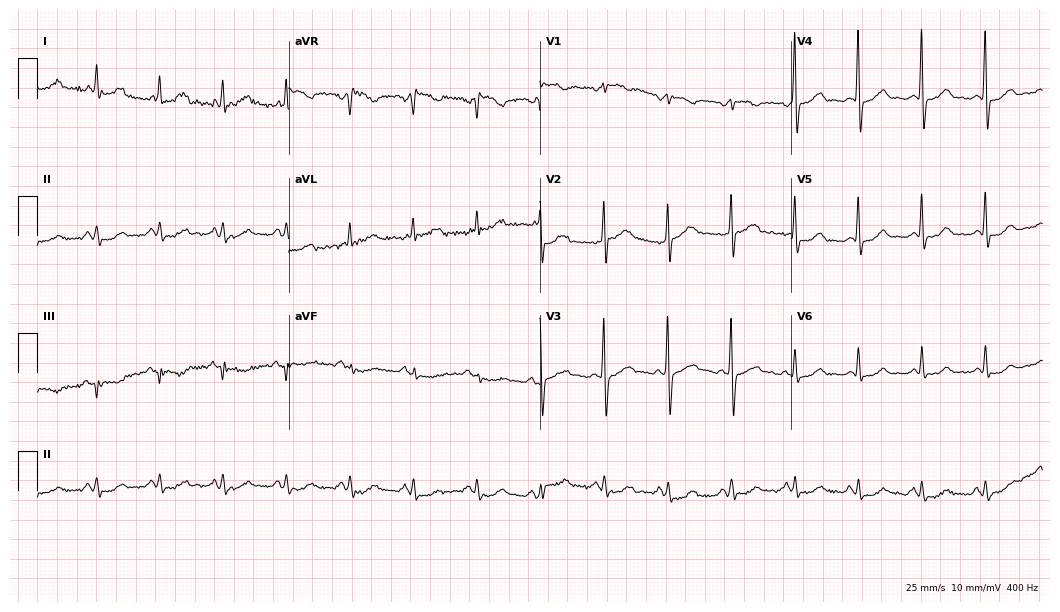
ECG (10.2-second recording at 400 Hz) — a 66-year-old woman. Labelled as a normal ECG.